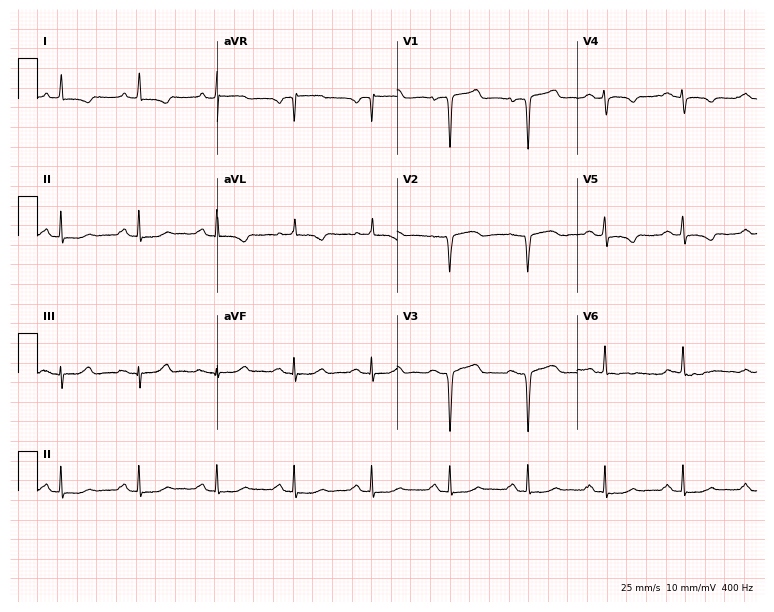
Standard 12-lead ECG recorded from a 70-year-old female. None of these six findings is recorded: first-degree AV block, right bundle branch block (RBBB), left bundle branch block (LBBB), sinus bradycardia, atrial fibrillation (AF), sinus tachycardia.